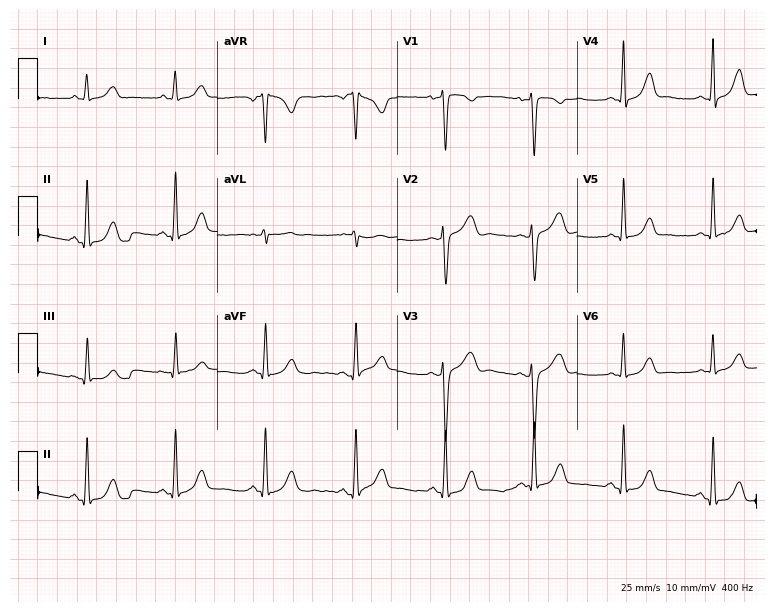
12-lead ECG from a woman, 30 years old (7.3-second recording at 400 Hz). No first-degree AV block, right bundle branch block, left bundle branch block, sinus bradycardia, atrial fibrillation or sinus tachycardia recorded for this tracing. Findings outside these six are not listed.